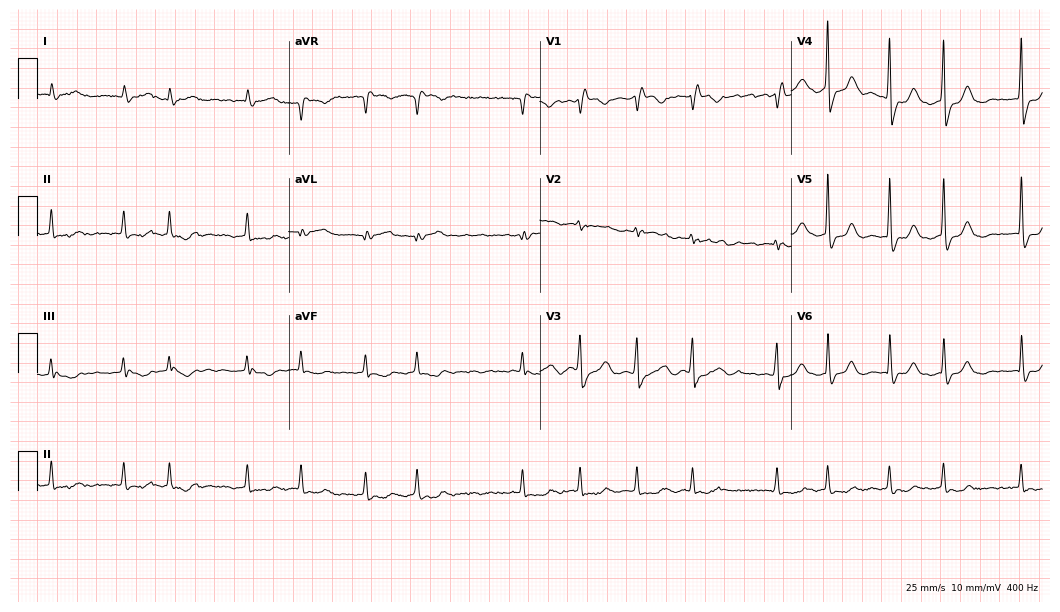
12-lead ECG from a male, 75 years old. Shows right bundle branch block (RBBB), atrial fibrillation (AF).